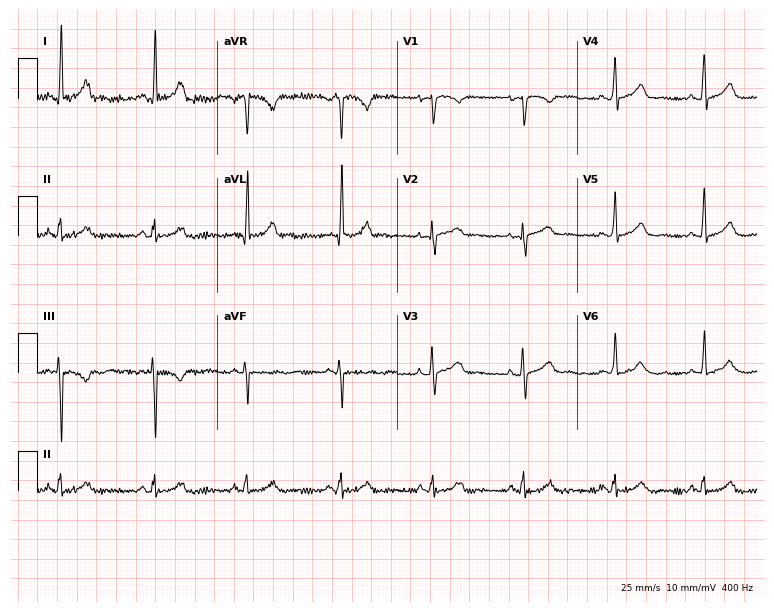
Standard 12-lead ECG recorded from a woman, 44 years old. Read as a normal ECG.